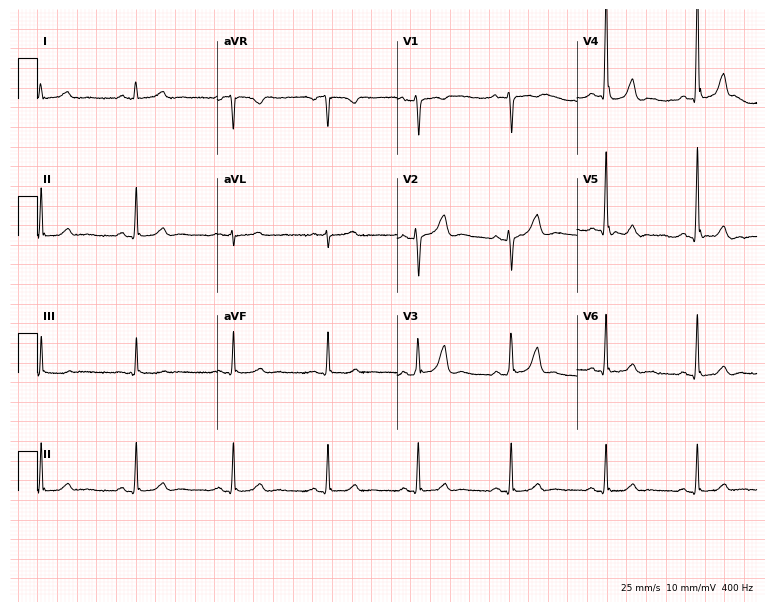
Standard 12-lead ECG recorded from a 45-year-old female (7.3-second recording at 400 Hz). None of these six findings is recorded: first-degree AV block, right bundle branch block (RBBB), left bundle branch block (LBBB), sinus bradycardia, atrial fibrillation (AF), sinus tachycardia.